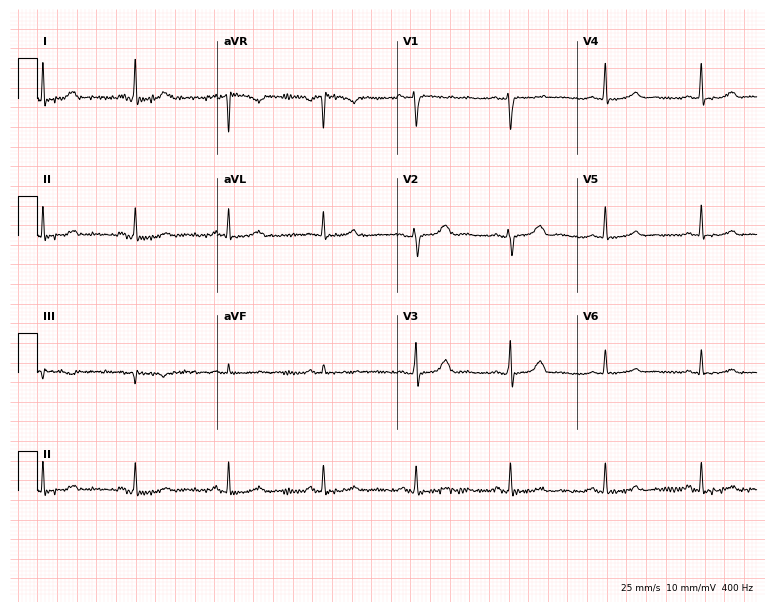
12-lead ECG from a 41-year-old woman. Labelled as a normal ECG.